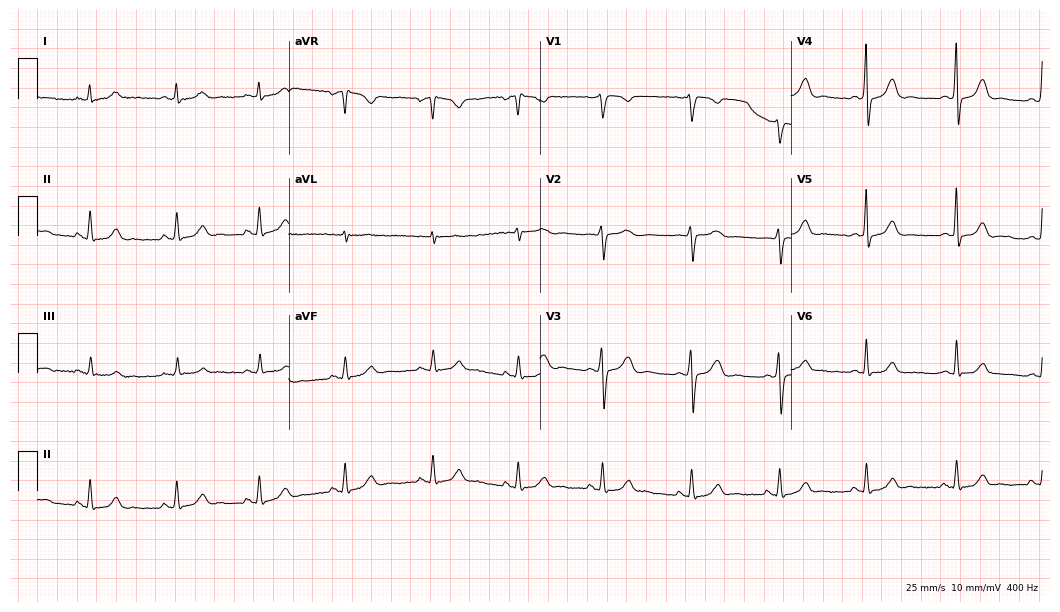
Electrocardiogram, a 47-year-old woman. Overall reading on record: normal ECG.